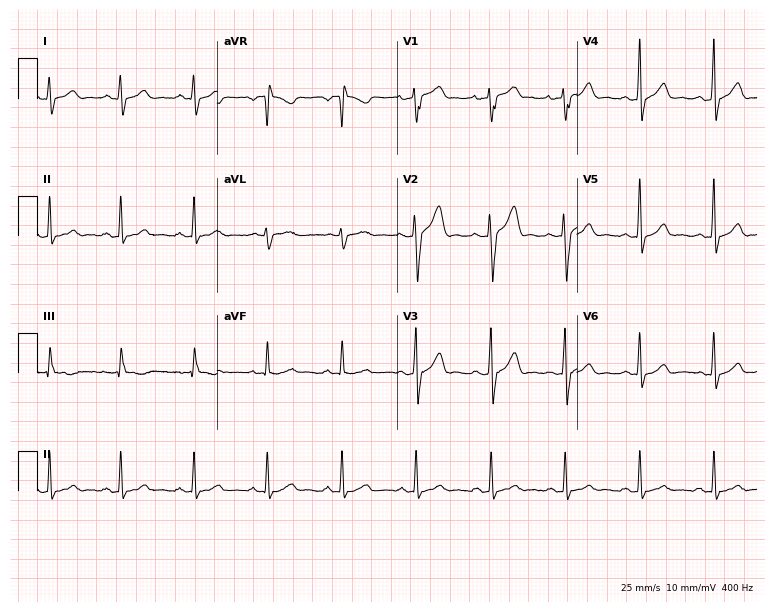
12-lead ECG (7.3-second recording at 400 Hz) from a male, 33 years old. Labelled as a normal ECG.